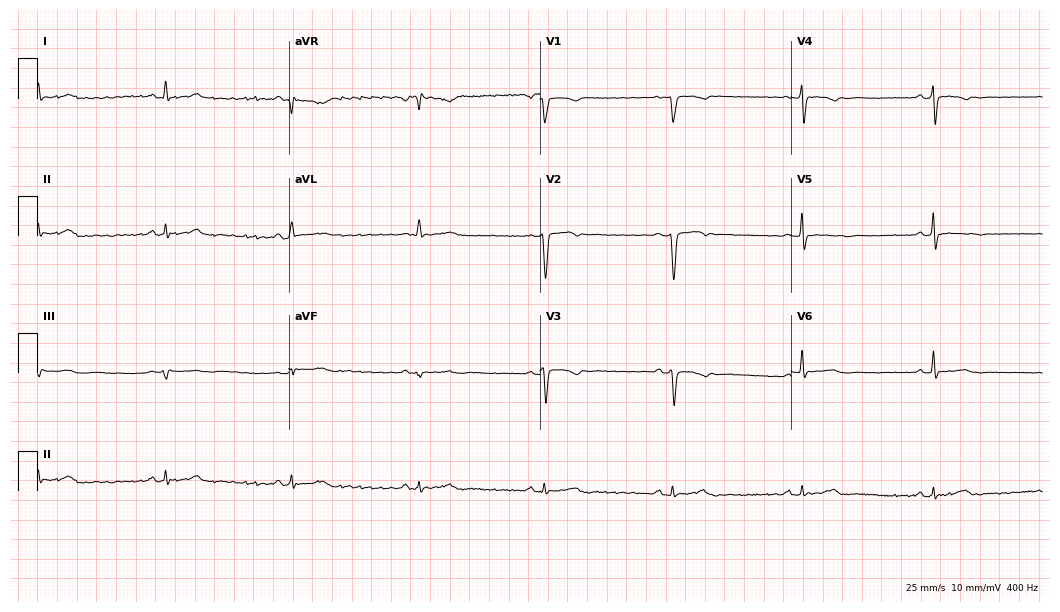
Electrocardiogram (10.2-second recording at 400 Hz), a female patient, 44 years old. Interpretation includes sinus bradycardia (a sinus rate of 50 beats per minute or less).